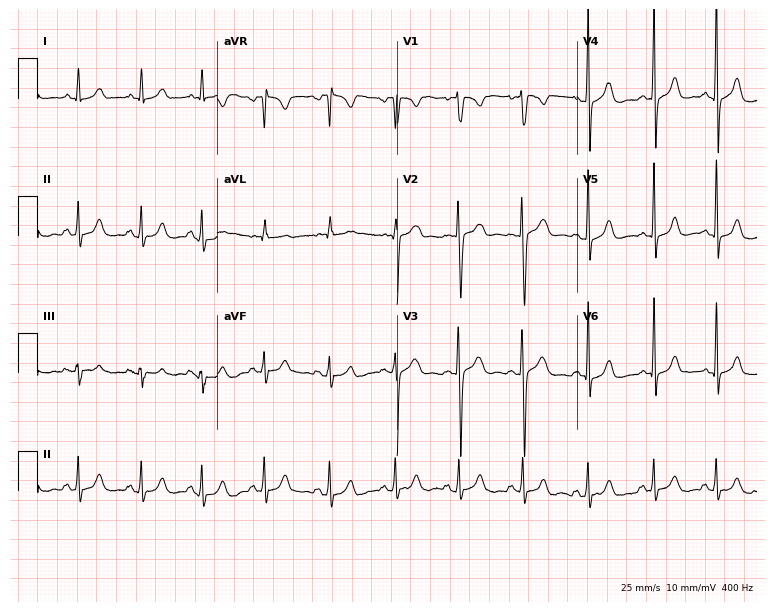
12-lead ECG from a 29-year-old female. Screened for six findings — first-degree AV block, right bundle branch block (RBBB), left bundle branch block (LBBB), sinus bradycardia, atrial fibrillation (AF), sinus tachycardia — none is recorded. Findings outside these six are not listed.